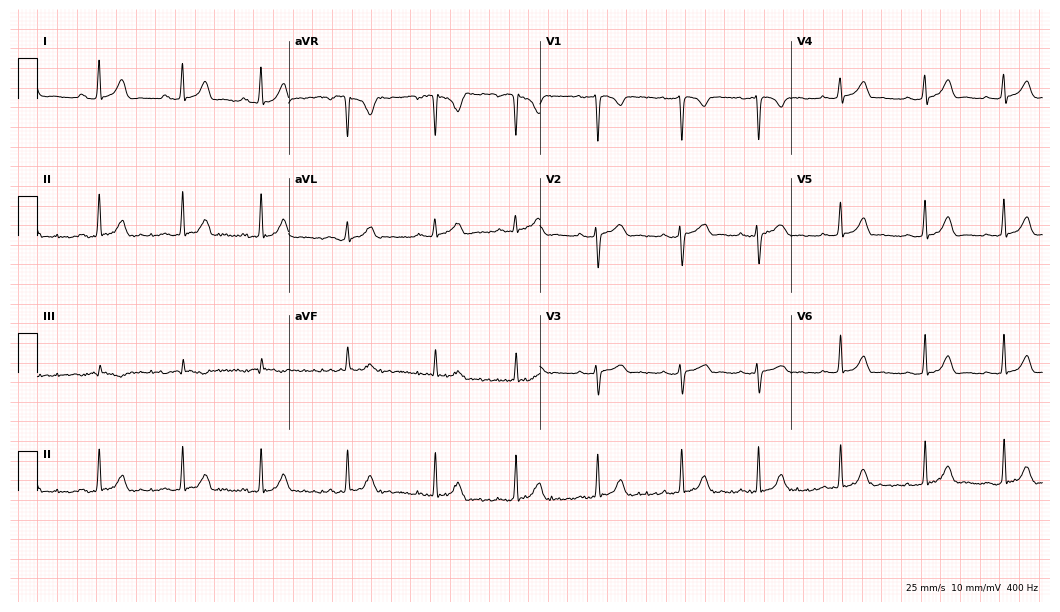
Resting 12-lead electrocardiogram (10.2-second recording at 400 Hz). Patient: a woman, 18 years old. None of these six findings is recorded: first-degree AV block, right bundle branch block, left bundle branch block, sinus bradycardia, atrial fibrillation, sinus tachycardia. Findings outside these six are not listed.